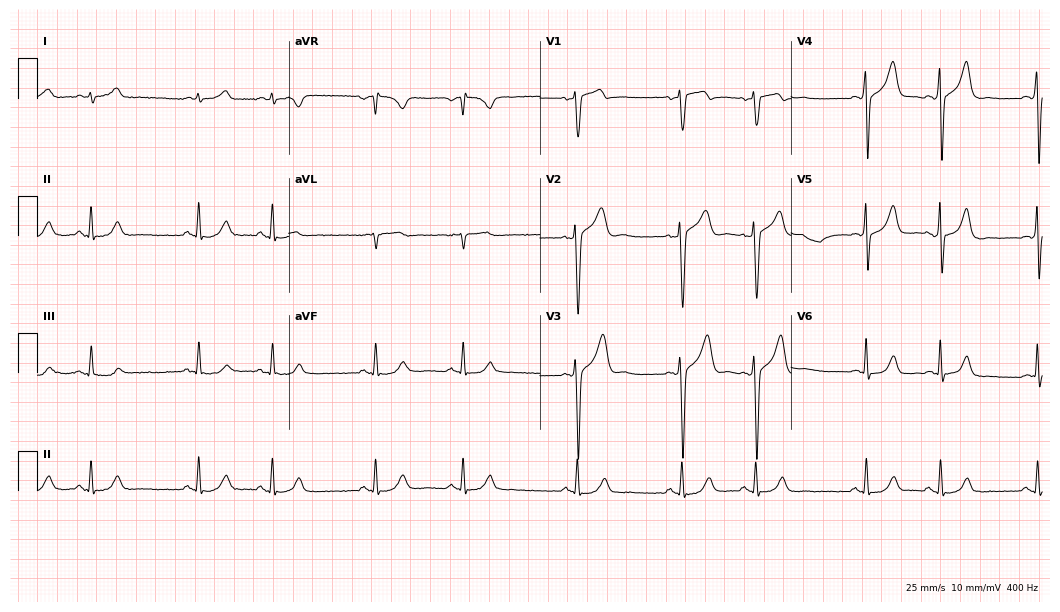
12-lead ECG from a 61-year-old male patient (10.2-second recording at 400 Hz). No first-degree AV block, right bundle branch block, left bundle branch block, sinus bradycardia, atrial fibrillation or sinus tachycardia recorded for this tracing. Other findings, if any, are not listed.